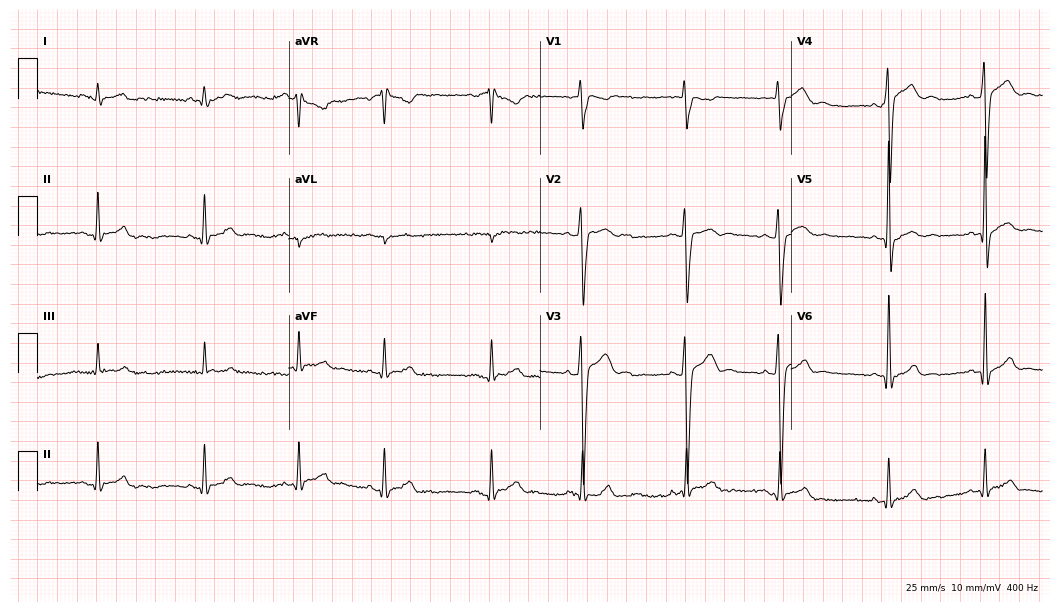
ECG (10.2-second recording at 400 Hz) — a 20-year-old male patient. Screened for six findings — first-degree AV block, right bundle branch block (RBBB), left bundle branch block (LBBB), sinus bradycardia, atrial fibrillation (AF), sinus tachycardia — none is recorded.